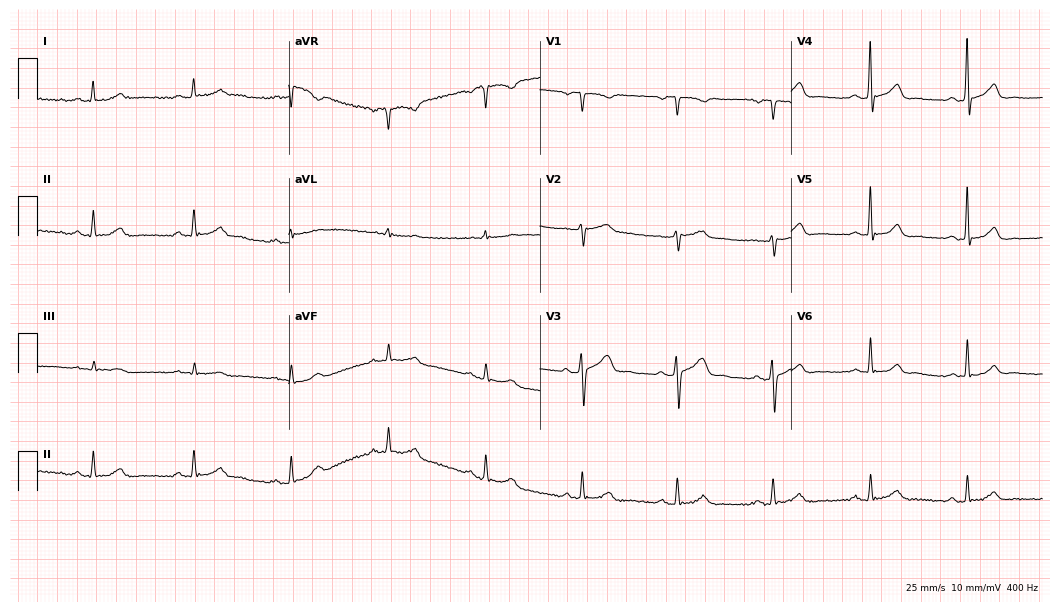
ECG — a 64-year-old male. Labelled as a normal ECG.